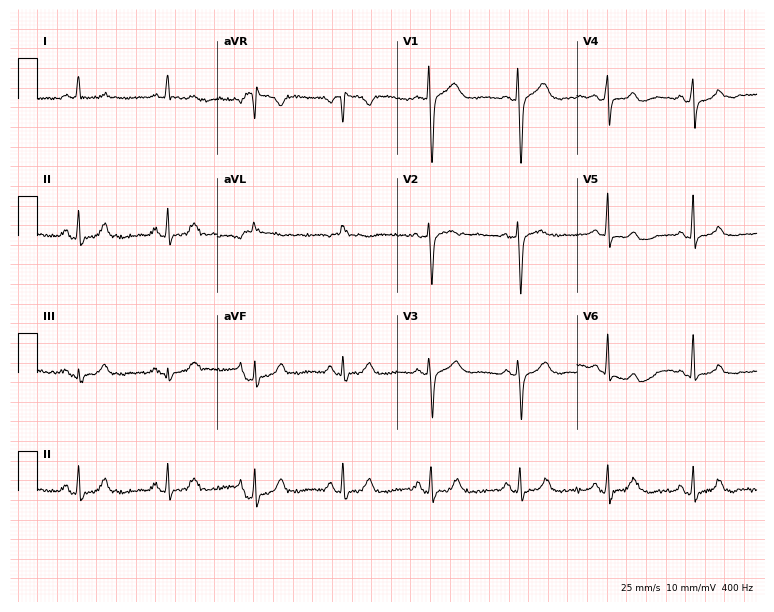
Electrocardiogram (7.3-second recording at 400 Hz), an 81-year-old female. Overall reading on record: normal ECG.